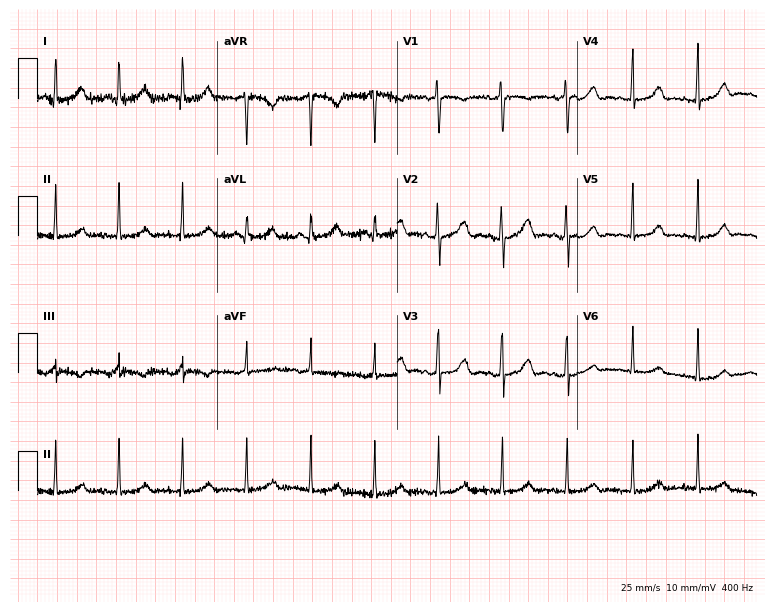
Standard 12-lead ECG recorded from a female patient, 40 years old. Read as a normal ECG.